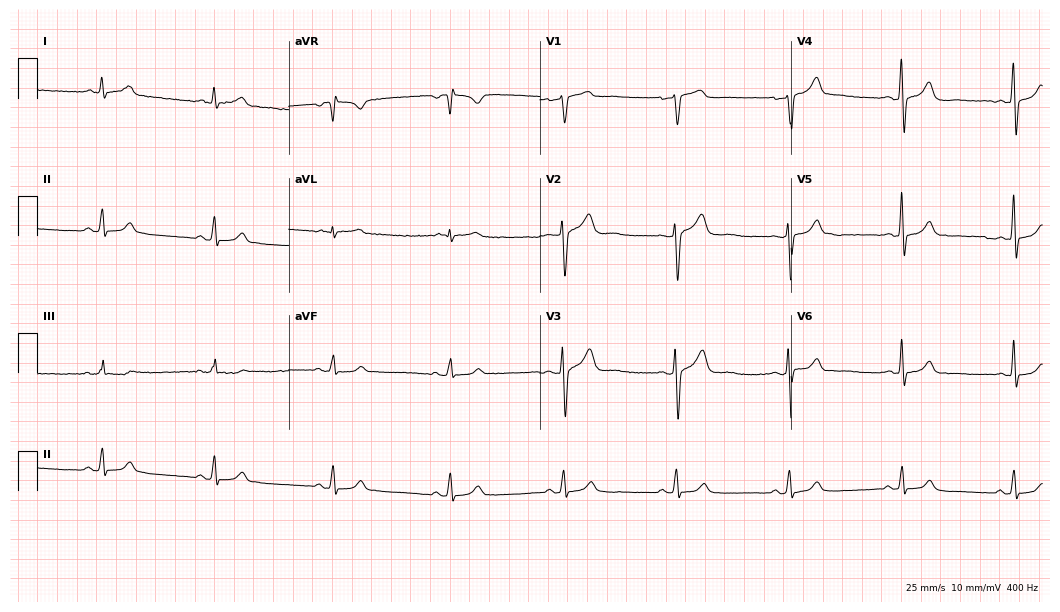
12-lead ECG from a 65-year-old male patient (10.2-second recording at 400 Hz). Recorded interpretation: within normal limits.